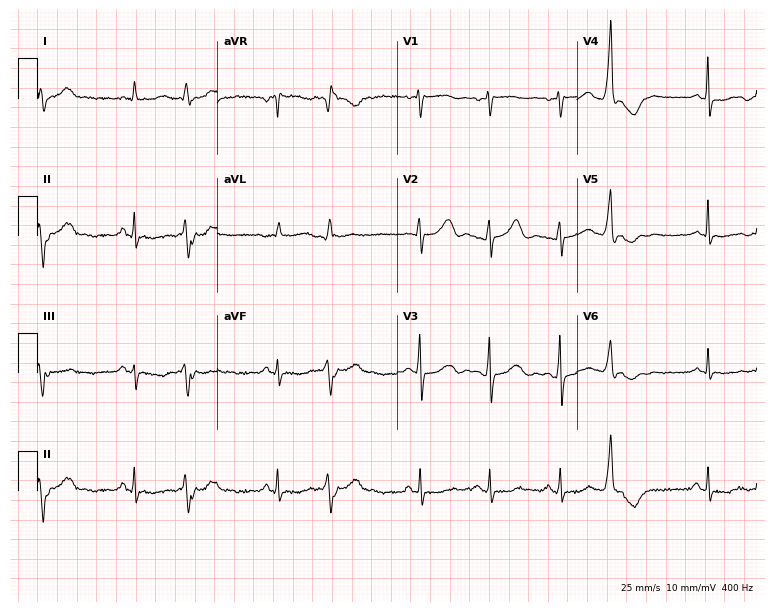
ECG — a 52-year-old female patient. Screened for six findings — first-degree AV block, right bundle branch block (RBBB), left bundle branch block (LBBB), sinus bradycardia, atrial fibrillation (AF), sinus tachycardia — none is recorded.